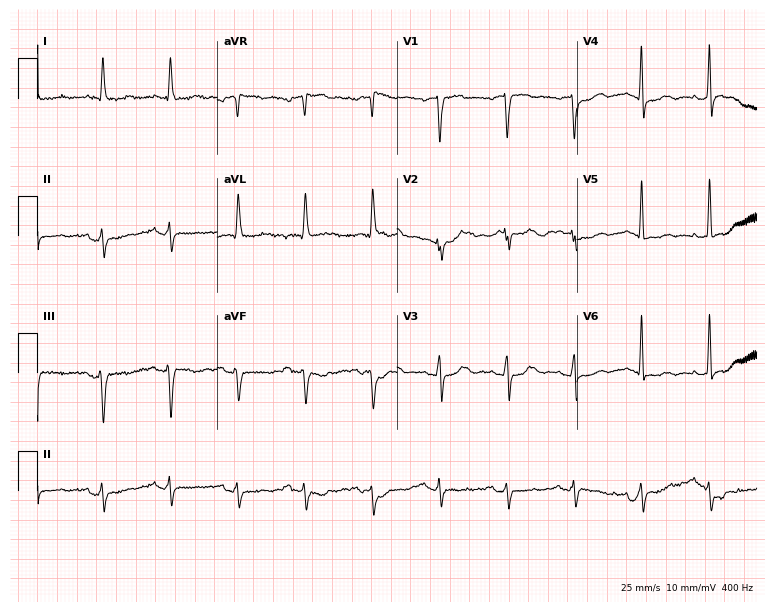
Resting 12-lead electrocardiogram (7.3-second recording at 400 Hz). Patient: a female, 77 years old. None of these six findings is recorded: first-degree AV block, right bundle branch block (RBBB), left bundle branch block (LBBB), sinus bradycardia, atrial fibrillation (AF), sinus tachycardia. Only these six findings were labelled.